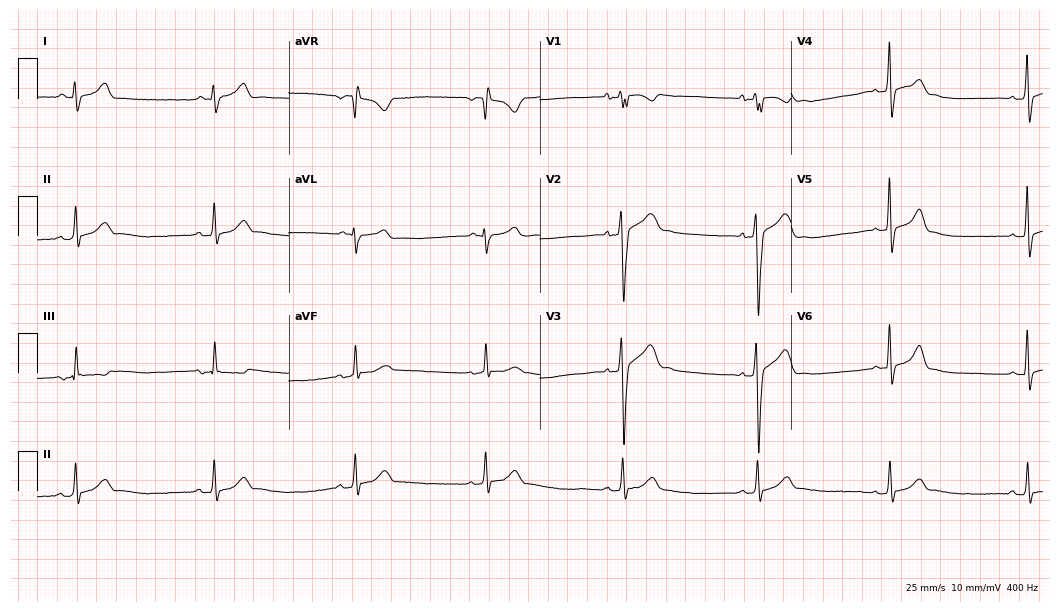
12-lead ECG from a 29-year-old man. Findings include sinus bradycardia (a sinus rate of 50 beats per minute or less).